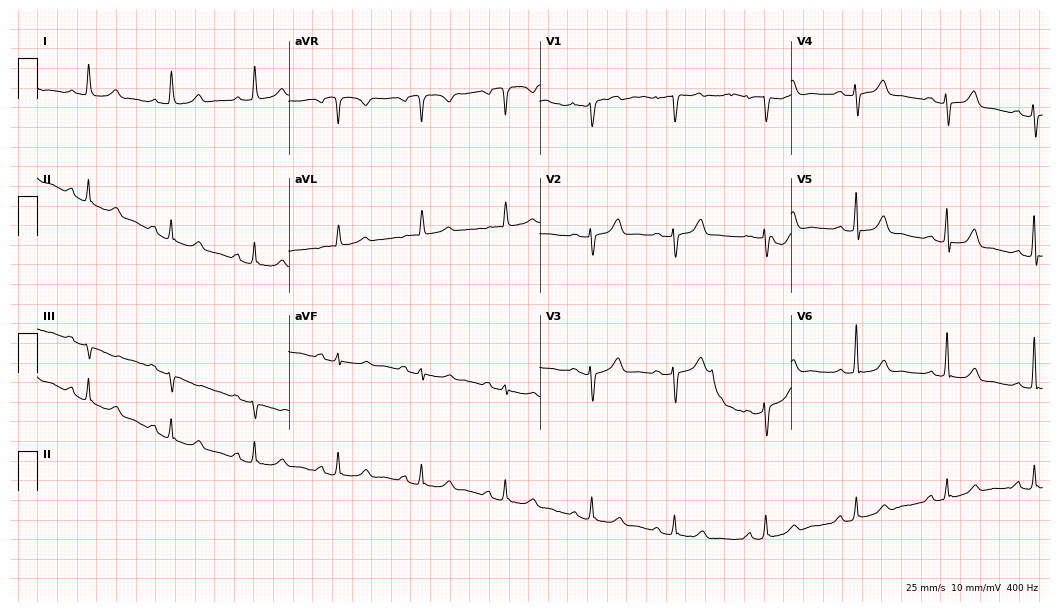
Standard 12-lead ECG recorded from a 77-year-old female patient. Read as a normal ECG.